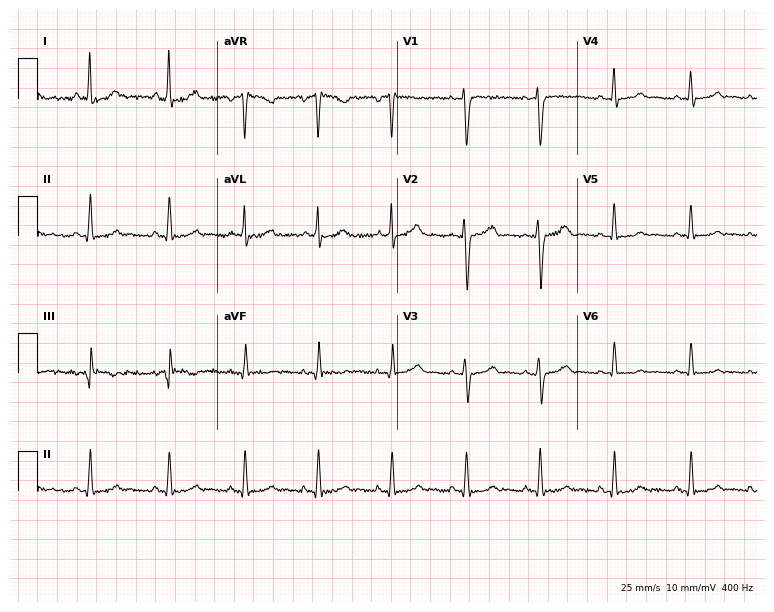
Electrocardiogram (7.3-second recording at 400 Hz), a 25-year-old female. Of the six screened findings (first-degree AV block, right bundle branch block, left bundle branch block, sinus bradycardia, atrial fibrillation, sinus tachycardia), none is recorded. Other findings, if any, are not listed.